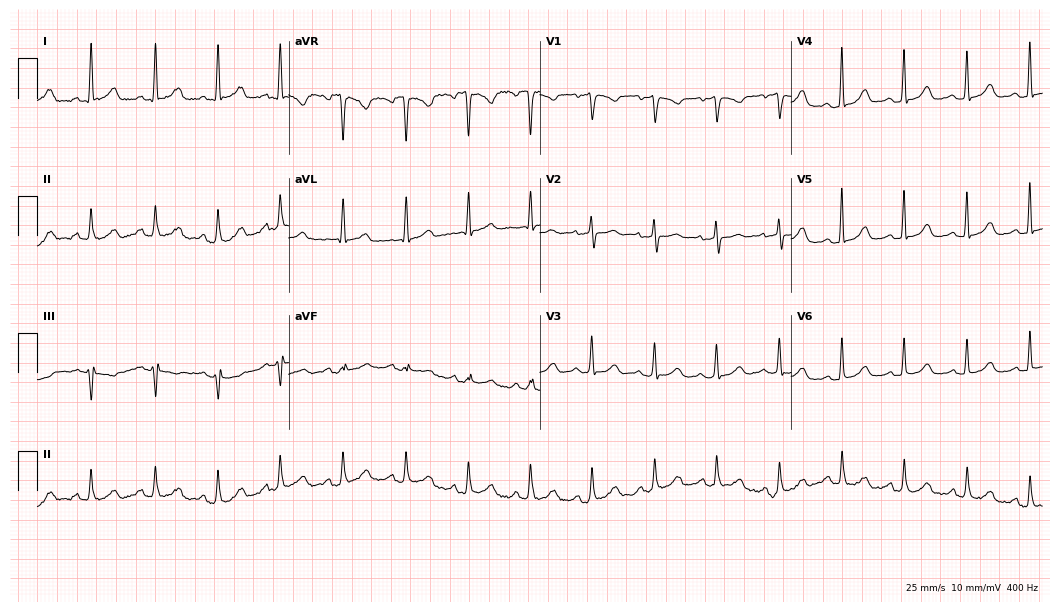
Standard 12-lead ECG recorded from an 84-year-old woman. Read as a normal ECG.